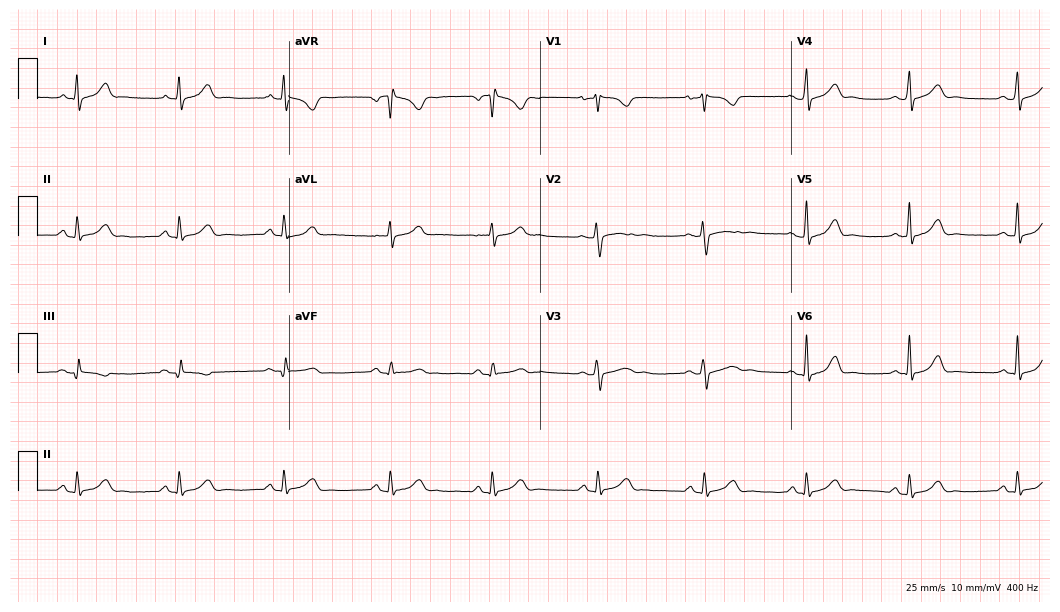
Electrocardiogram, a 25-year-old female. Overall reading on record: normal ECG.